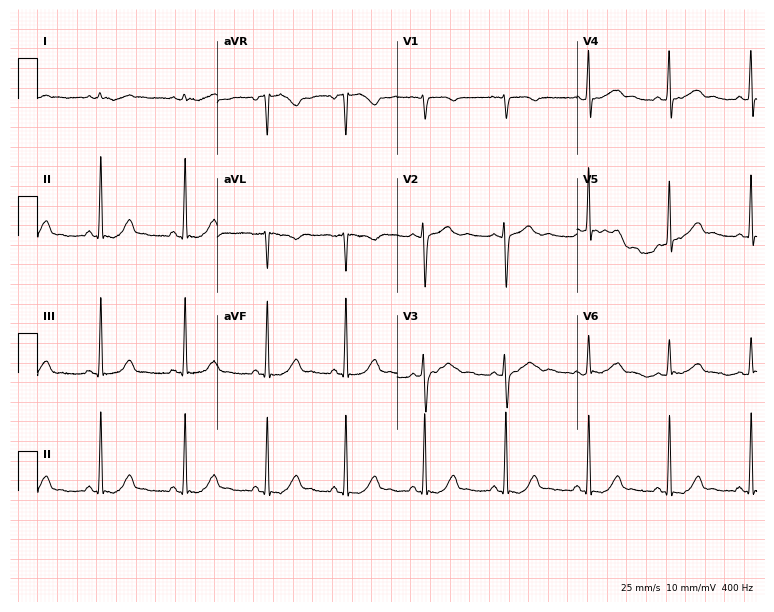
Electrocardiogram, a female, 48 years old. Of the six screened findings (first-degree AV block, right bundle branch block, left bundle branch block, sinus bradycardia, atrial fibrillation, sinus tachycardia), none is recorded.